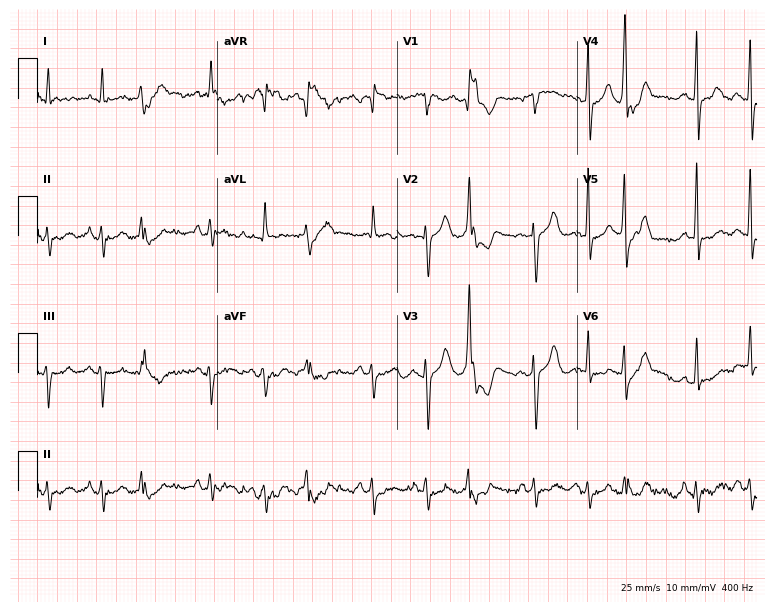
Standard 12-lead ECG recorded from an 85-year-old male. The tracing shows sinus tachycardia (a sinus rate of 100 beats per minute or more).